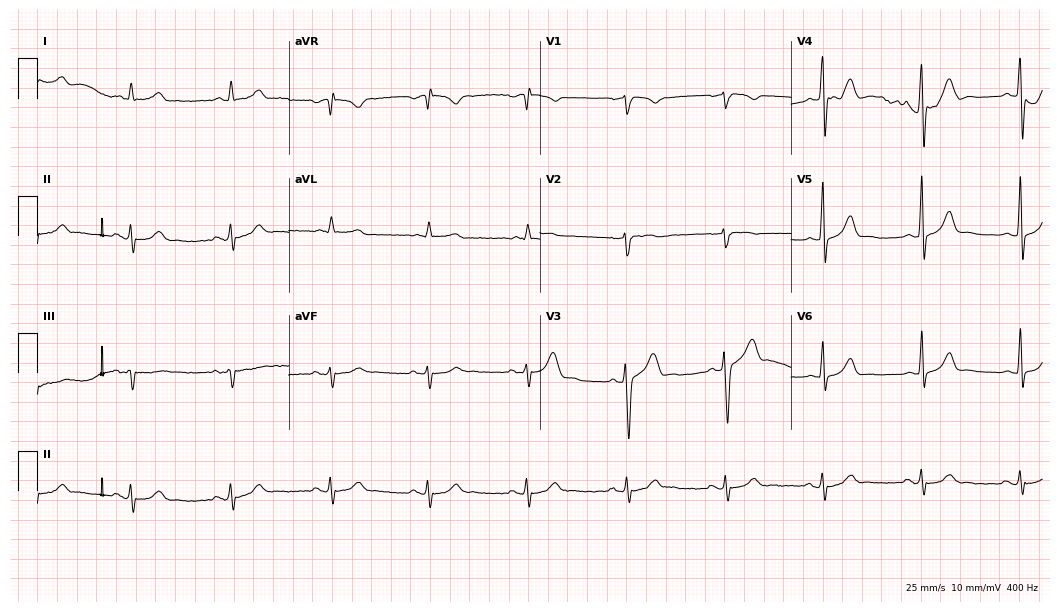
ECG — a man, 37 years old. Labelled as a normal ECG.